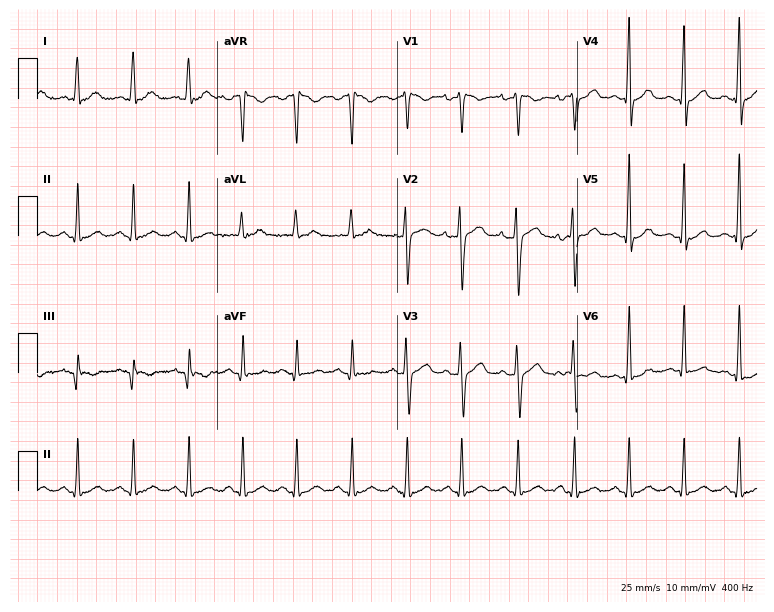
Electrocardiogram, a female, 20 years old. Interpretation includes sinus tachycardia (a sinus rate of 100 beats per minute or more).